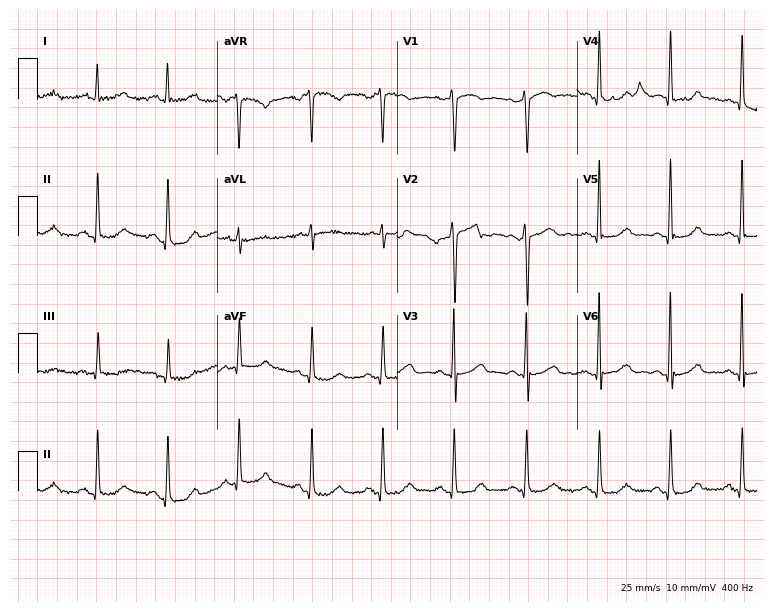
12-lead ECG (7.3-second recording at 400 Hz) from a 58-year-old woman. Labelled as a normal ECG.